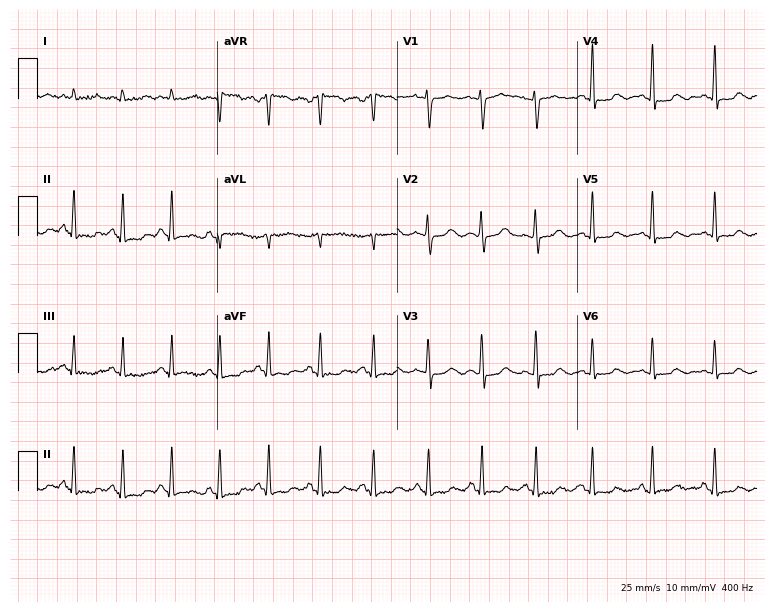
ECG — a woman, 40 years old. Findings include sinus tachycardia (a sinus rate of 100 beats per minute or more).